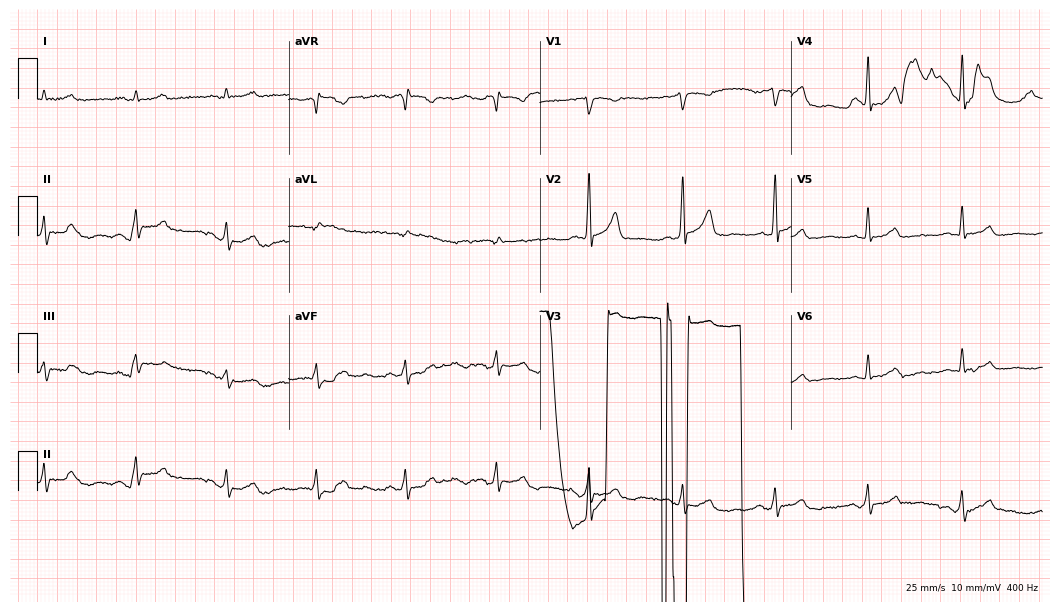
Standard 12-lead ECG recorded from a man, 55 years old. None of these six findings is recorded: first-degree AV block, right bundle branch block (RBBB), left bundle branch block (LBBB), sinus bradycardia, atrial fibrillation (AF), sinus tachycardia. Findings outside these six are not listed.